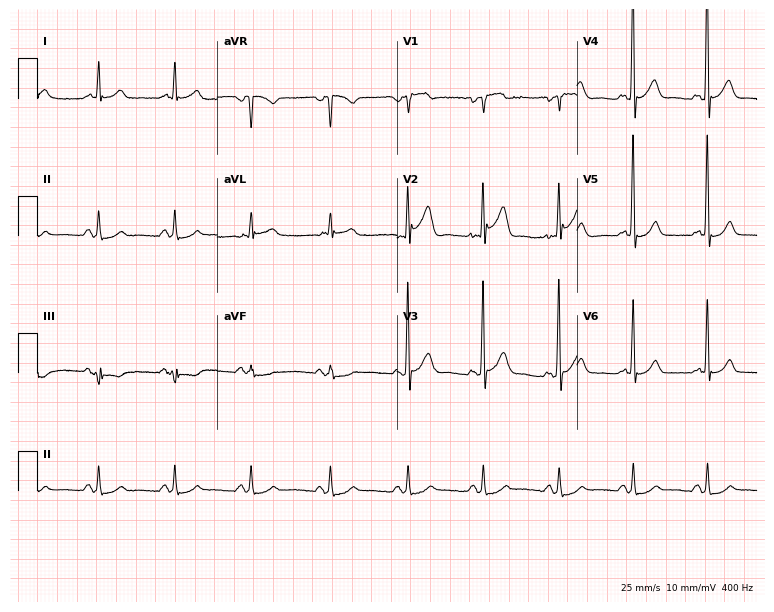
Electrocardiogram (7.3-second recording at 400 Hz), a male, 72 years old. Overall reading on record: normal ECG.